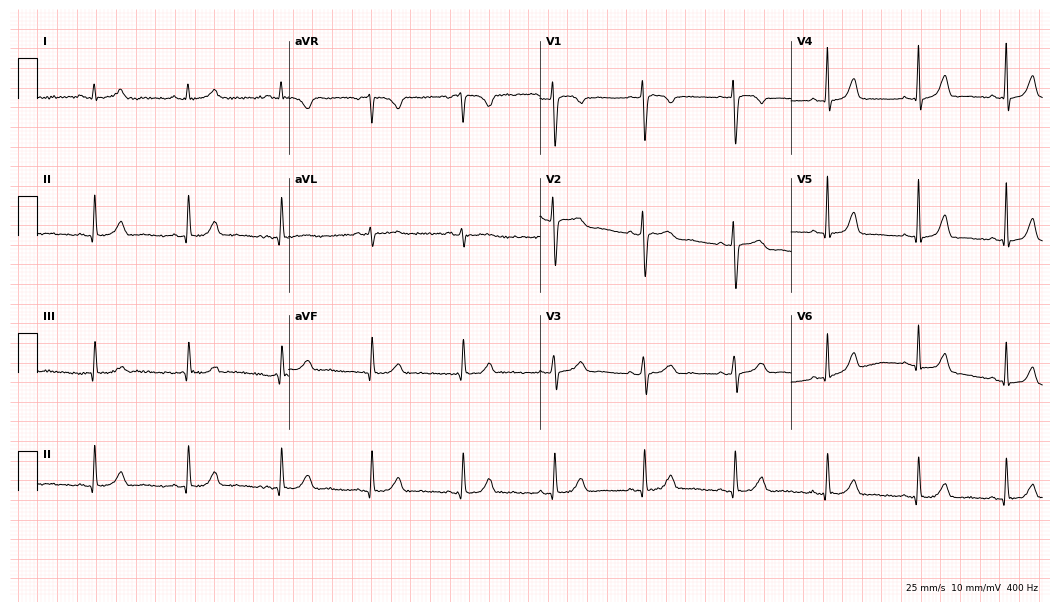
12-lead ECG (10.2-second recording at 400 Hz) from a 31-year-old female patient. Labelled as a normal ECG.